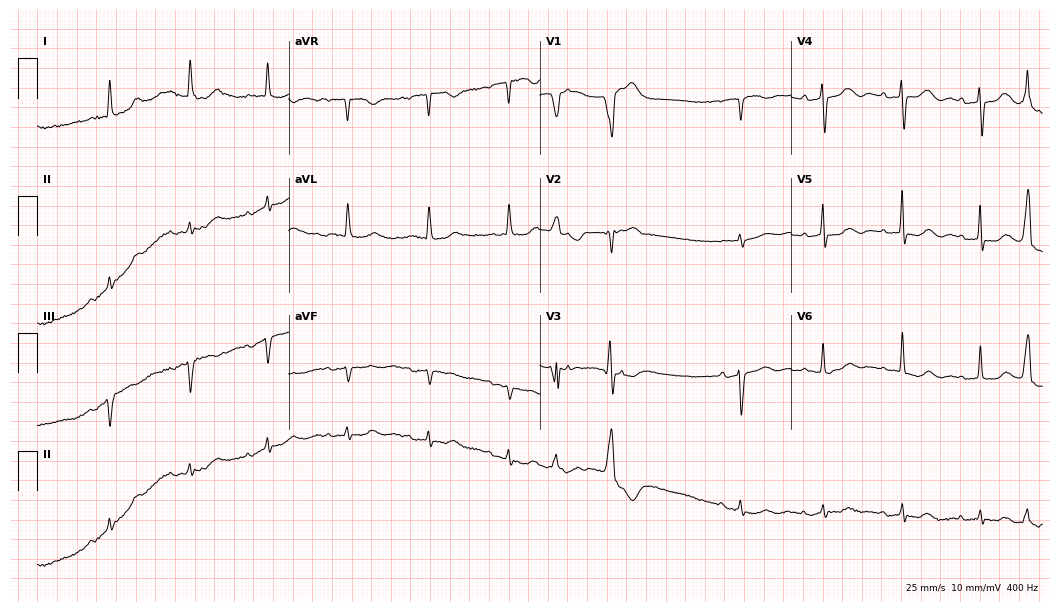
Electrocardiogram, an 84-year-old female. Of the six screened findings (first-degree AV block, right bundle branch block (RBBB), left bundle branch block (LBBB), sinus bradycardia, atrial fibrillation (AF), sinus tachycardia), none is recorded. Findings outside these six are not listed.